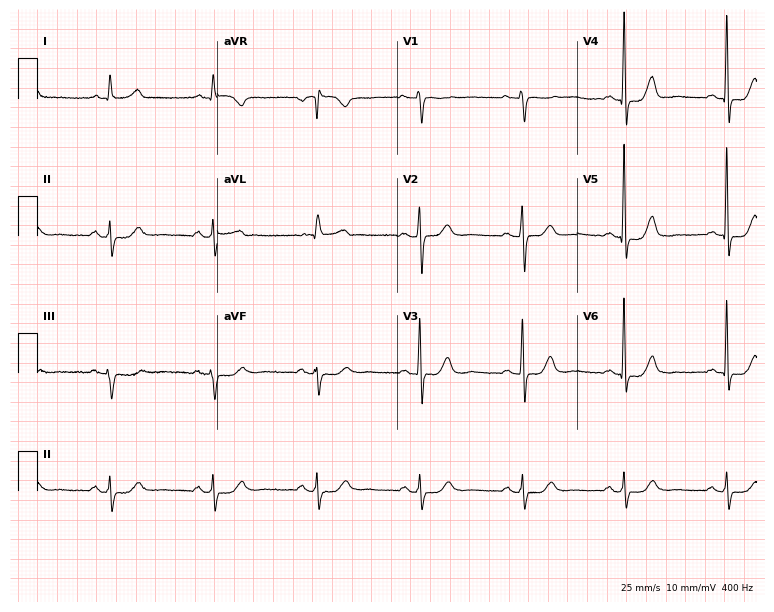
Standard 12-lead ECG recorded from a male patient, 79 years old (7.3-second recording at 400 Hz). Read as a normal ECG.